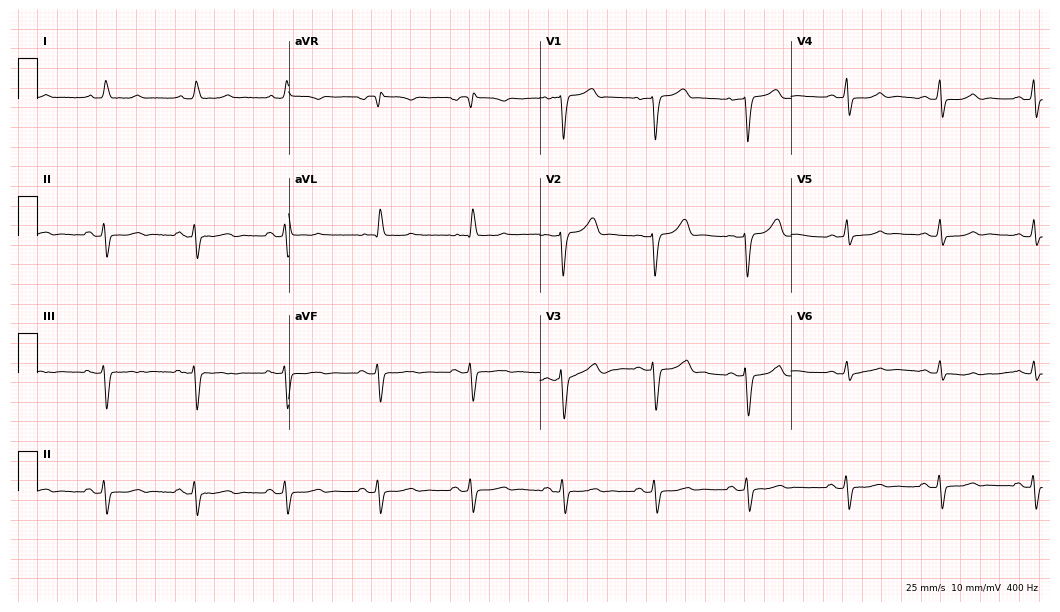
Electrocardiogram (10.2-second recording at 400 Hz), a 59-year-old female. Of the six screened findings (first-degree AV block, right bundle branch block, left bundle branch block, sinus bradycardia, atrial fibrillation, sinus tachycardia), none is recorded.